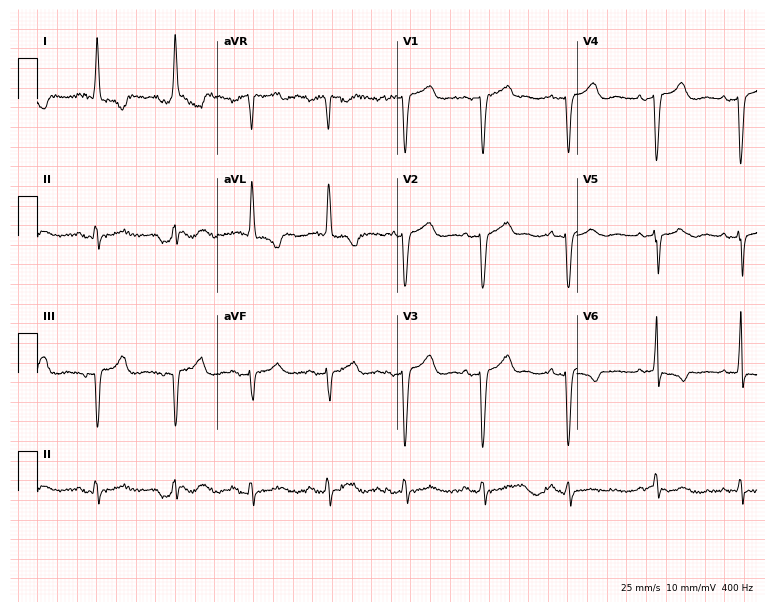
Standard 12-lead ECG recorded from an 82-year-old female patient. Read as a normal ECG.